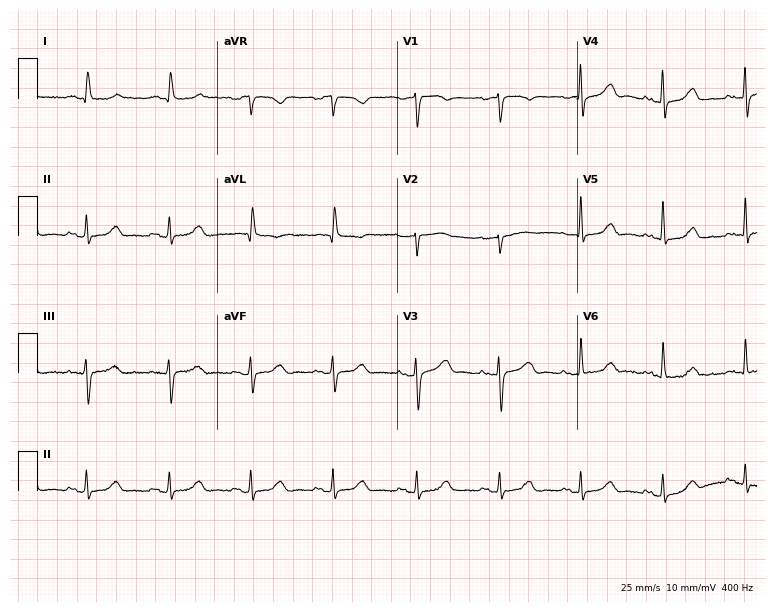
Resting 12-lead electrocardiogram. Patient: an 82-year-old woman. Read as a normal ECG.